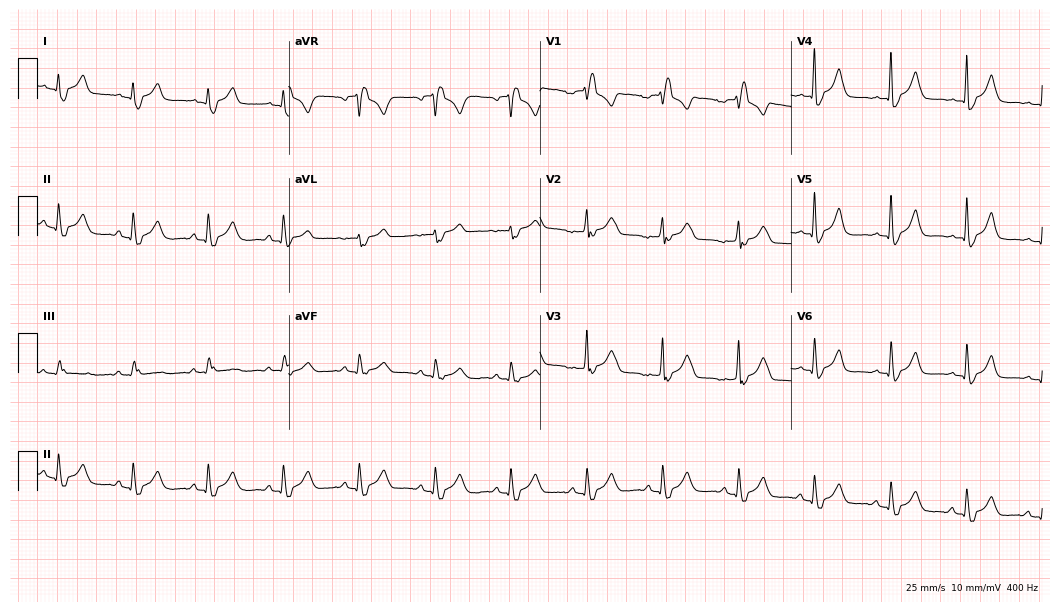
12-lead ECG (10.2-second recording at 400 Hz) from a female patient, 57 years old. Findings include right bundle branch block.